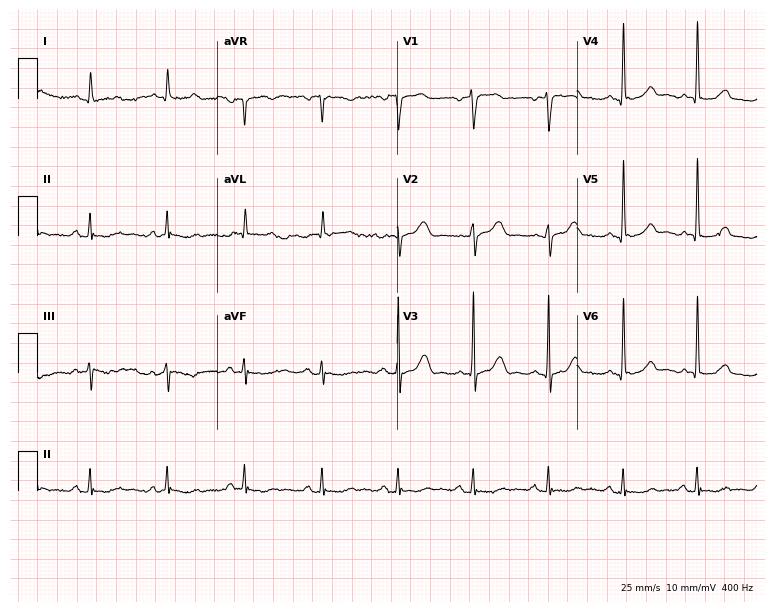
12-lead ECG (7.3-second recording at 400 Hz) from a 65-year-old man. Labelled as a normal ECG.